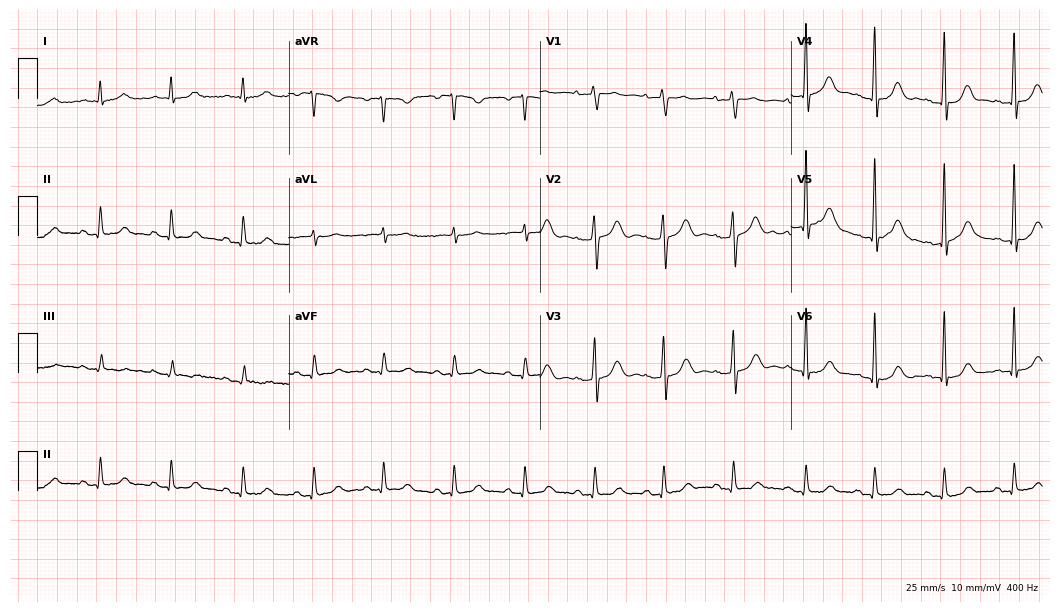
Standard 12-lead ECG recorded from a 72-year-old male. None of these six findings is recorded: first-degree AV block, right bundle branch block, left bundle branch block, sinus bradycardia, atrial fibrillation, sinus tachycardia. Other findings, if any, are not listed.